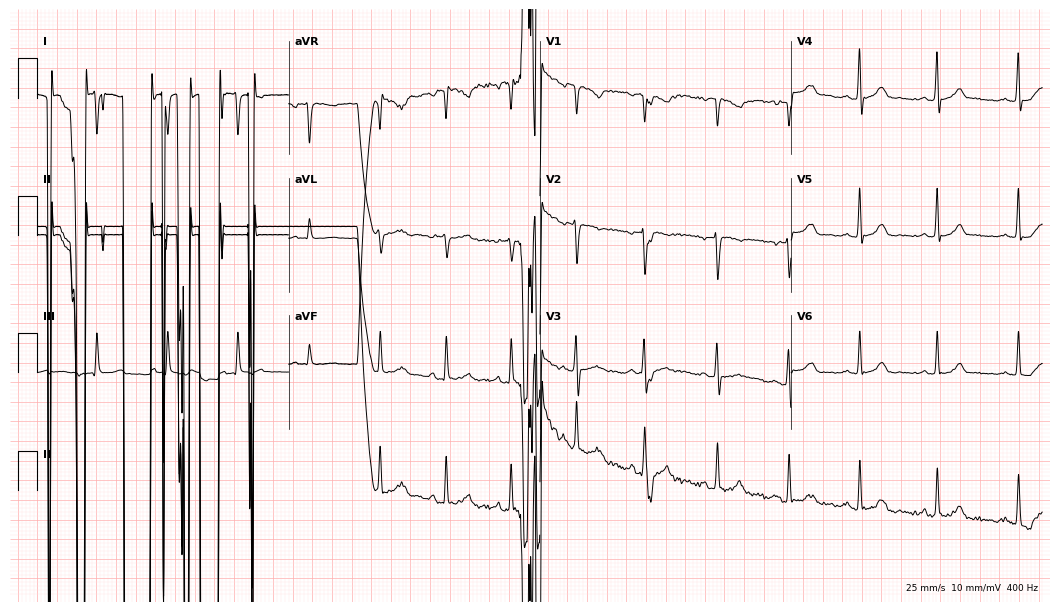
Standard 12-lead ECG recorded from a female patient, 25 years old. None of these six findings is recorded: first-degree AV block, right bundle branch block, left bundle branch block, sinus bradycardia, atrial fibrillation, sinus tachycardia. Findings outside these six are not listed.